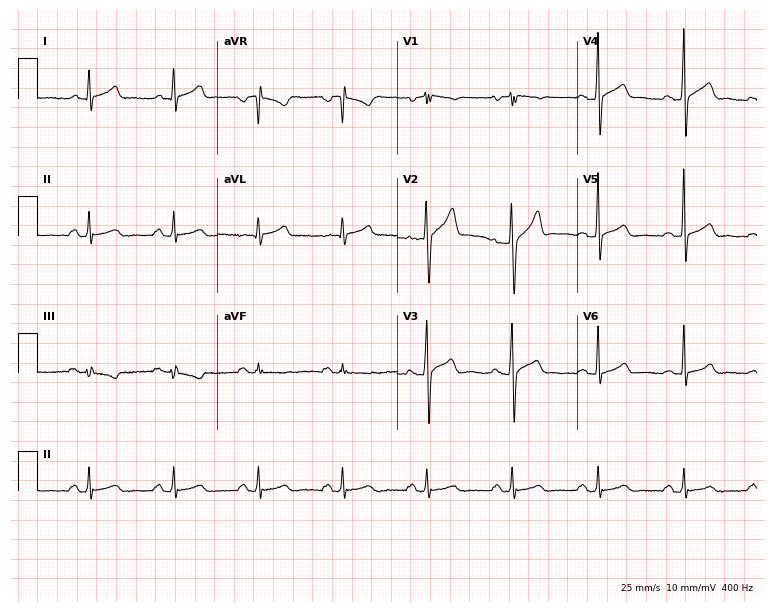
Resting 12-lead electrocardiogram. Patient: a 54-year-old man. Read as a normal ECG.